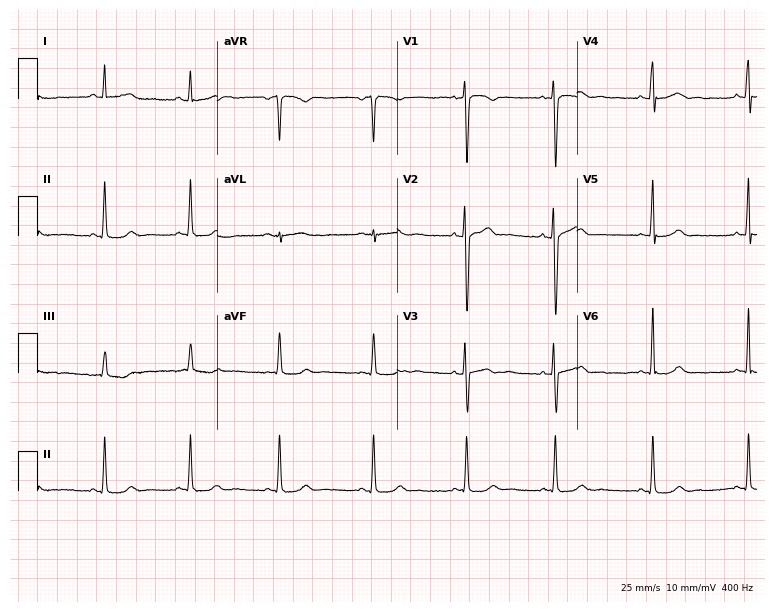
Electrocardiogram (7.3-second recording at 400 Hz), a 24-year-old female. Overall reading on record: normal ECG.